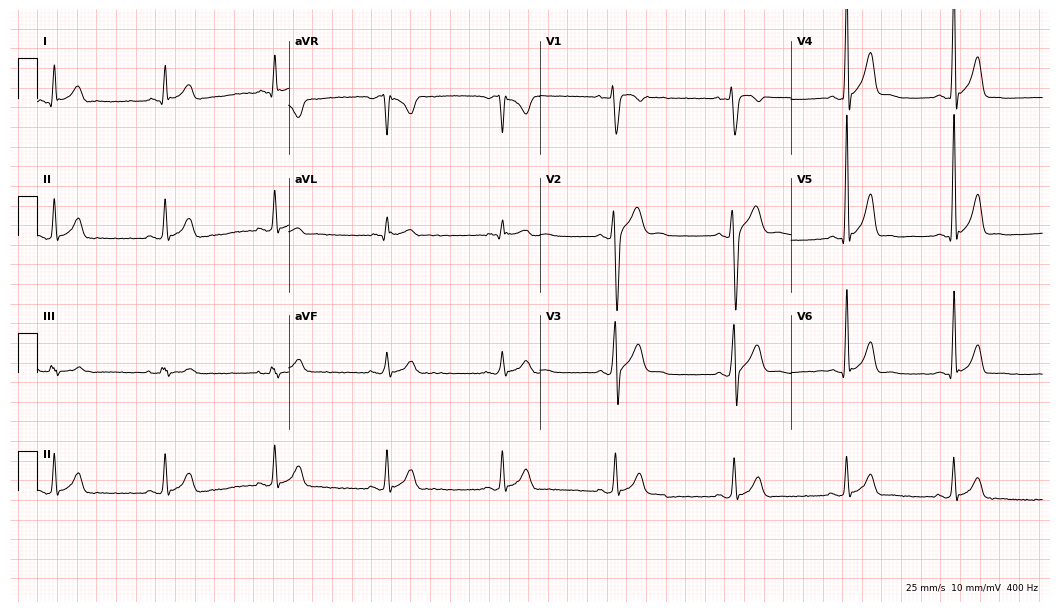
Resting 12-lead electrocardiogram (10.2-second recording at 400 Hz). Patient: a 28-year-old man. None of these six findings is recorded: first-degree AV block, right bundle branch block, left bundle branch block, sinus bradycardia, atrial fibrillation, sinus tachycardia.